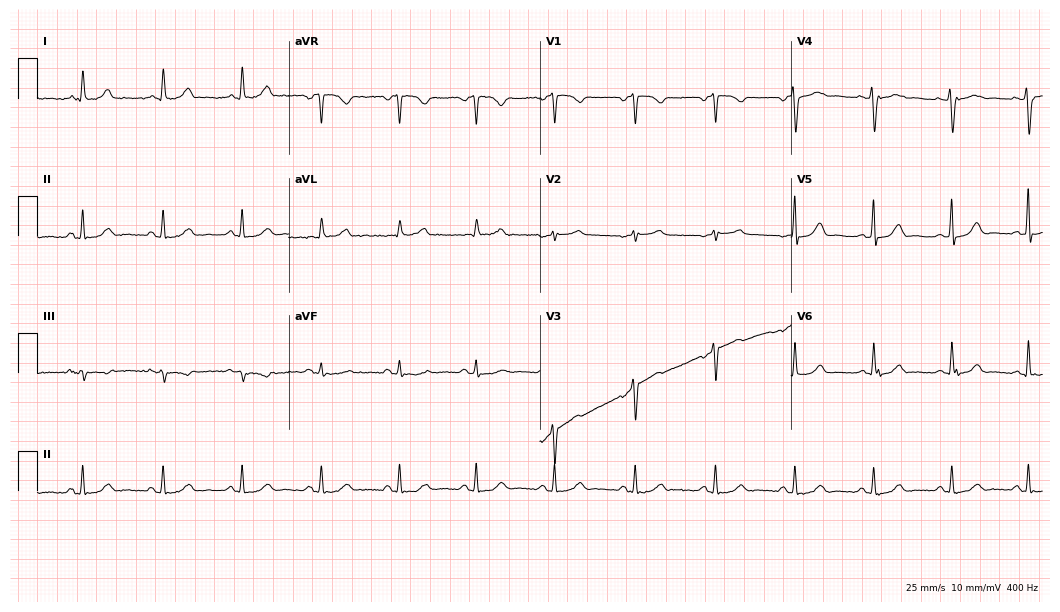
12-lead ECG (10.2-second recording at 400 Hz) from a 39-year-old woman. Labelled as a normal ECG.